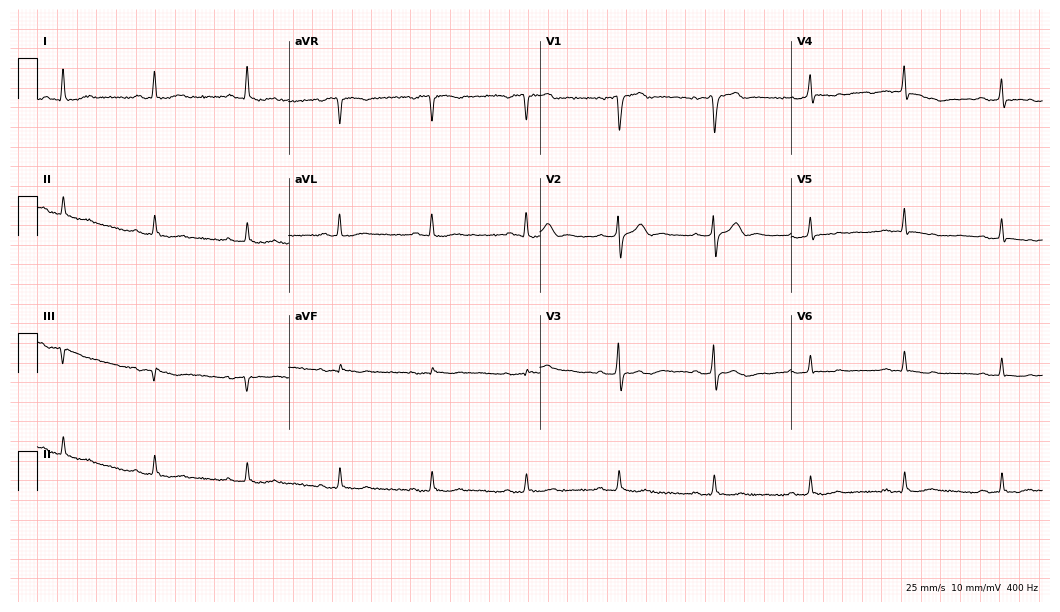
12-lead ECG from a 61-year-old man. Labelled as a normal ECG.